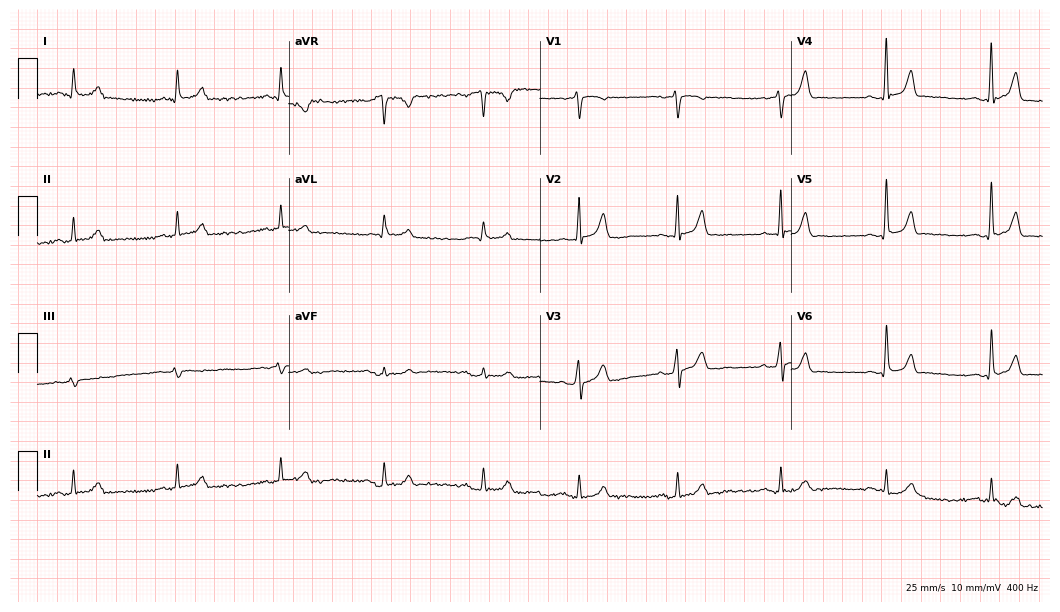
12-lead ECG (10.2-second recording at 400 Hz) from a 42-year-old male patient. Labelled as a normal ECG.